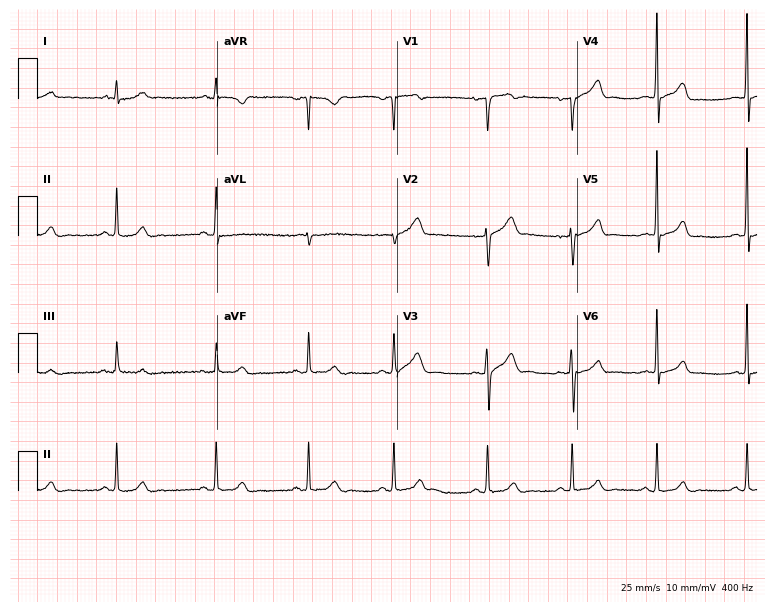
12-lead ECG from a 37-year-old male patient (7.3-second recording at 400 Hz). Recorded interpretation: within normal limits.